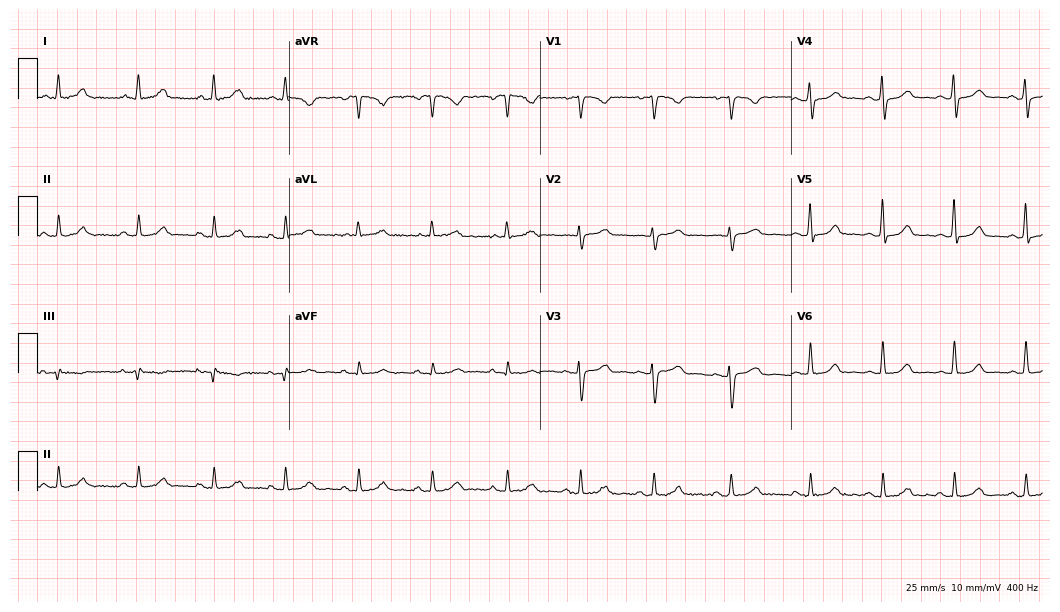
Resting 12-lead electrocardiogram. Patient: a 33-year-old female. Read as a normal ECG.